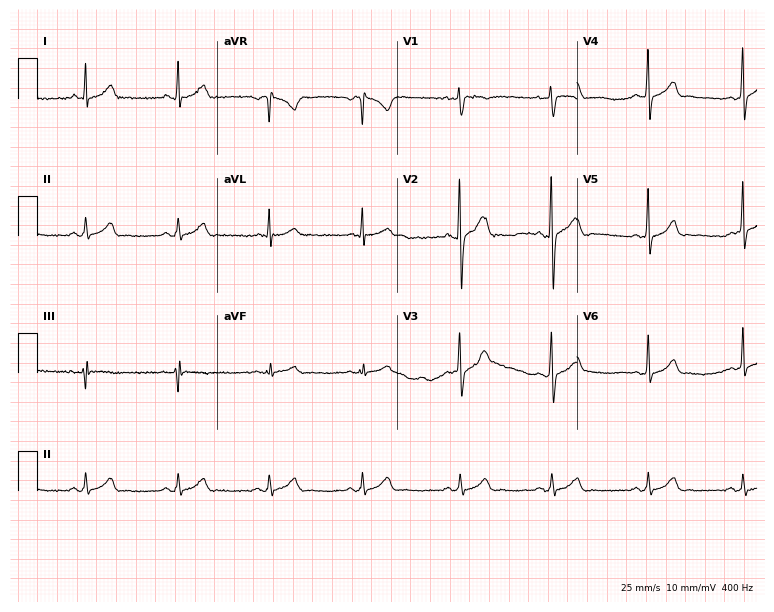
12-lead ECG (7.3-second recording at 400 Hz) from a 20-year-old man. Labelled as a normal ECG.